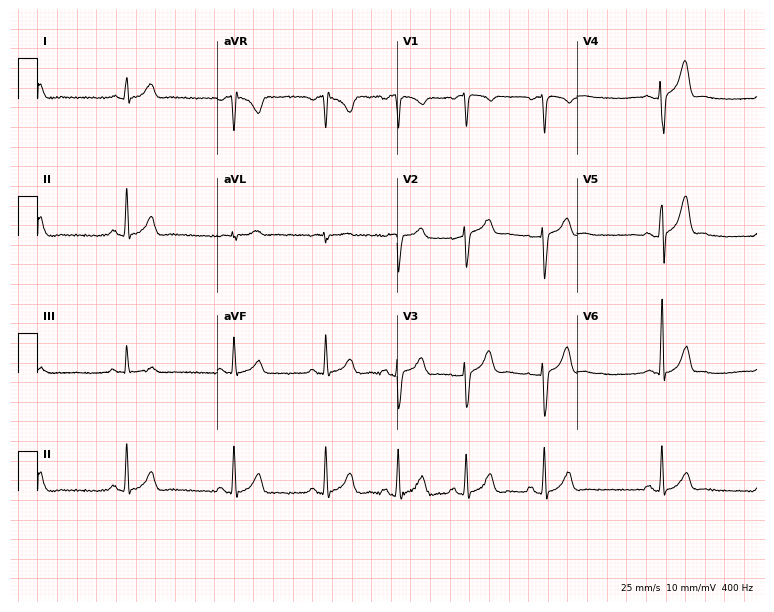
12-lead ECG from a man, 23 years old. No first-degree AV block, right bundle branch block, left bundle branch block, sinus bradycardia, atrial fibrillation or sinus tachycardia recorded for this tracing. Only these six findings were labelled.